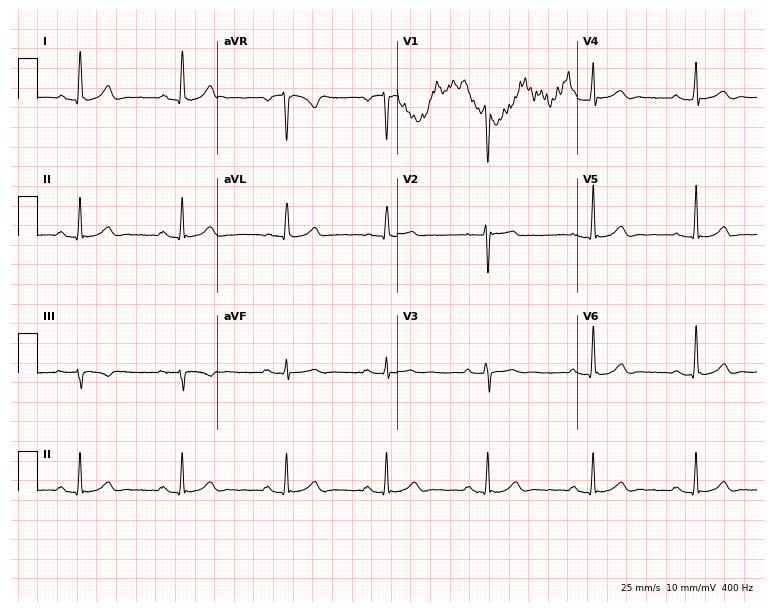
Electrocardiogram (7.3-second recording at 400 Hz), a 40-year-old male patient. Overall reading on record: normal ECG.